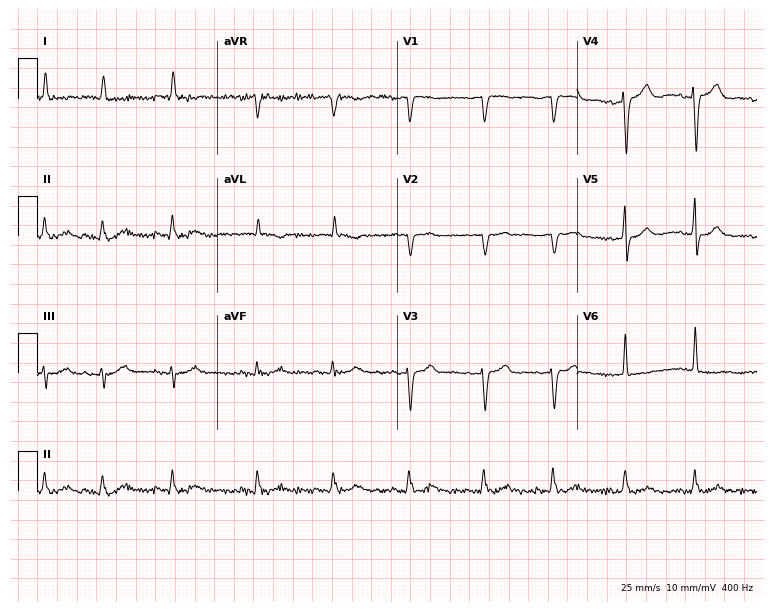
12-lead ECG from an 83-year-old female. No first-degree AV block, right bundle branch block, left bundle branch block, sinus bradycardia, atrial fibrillation or sinus tachycardia recorded for this tracing. Other findings, if any, are not listed.